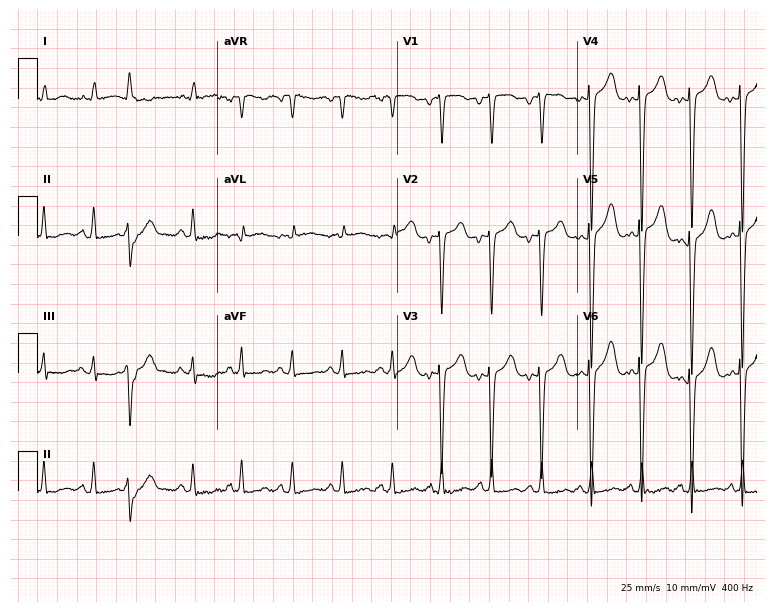
Electrocardiogram, a 50-year-old woman. Interpretation includes sinus tachycardia (a sinus rate of 100 beats per minute or more).